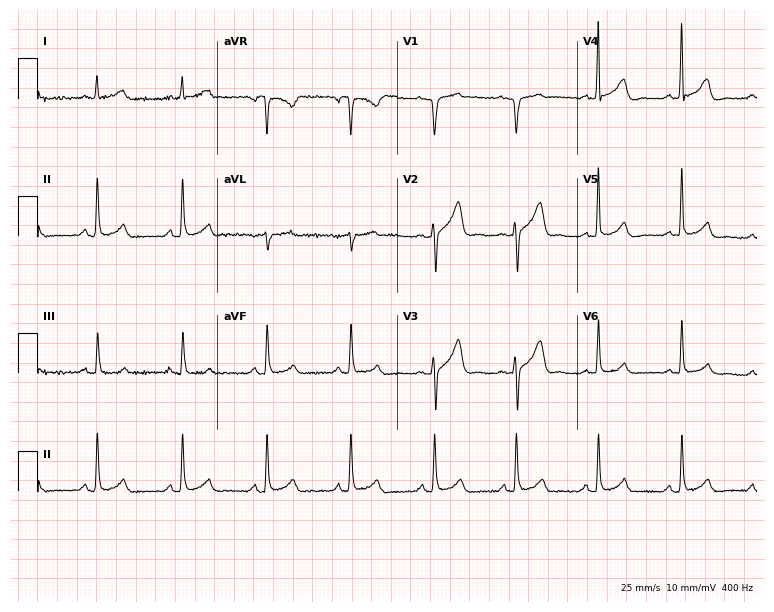
12-lead ECG from a 48-year-old man (7.3-second recording at 400 Hz). Recorded interpretation: within normal limits.